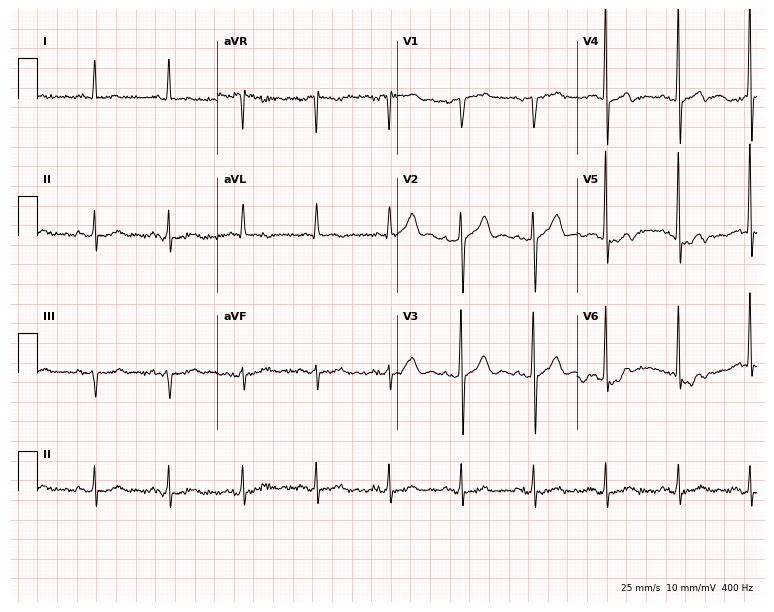
Standard 12-lead ECG recorded from a 62-year-old man (7.3-second recording at 400 Hz). None of these six findings is recorded: first-degree AV block, right bundle branch block (RBBB), left bundle branch block (LBBB), sinus bradycardia, atrial fibrillation (AF), sinus tachycardia.